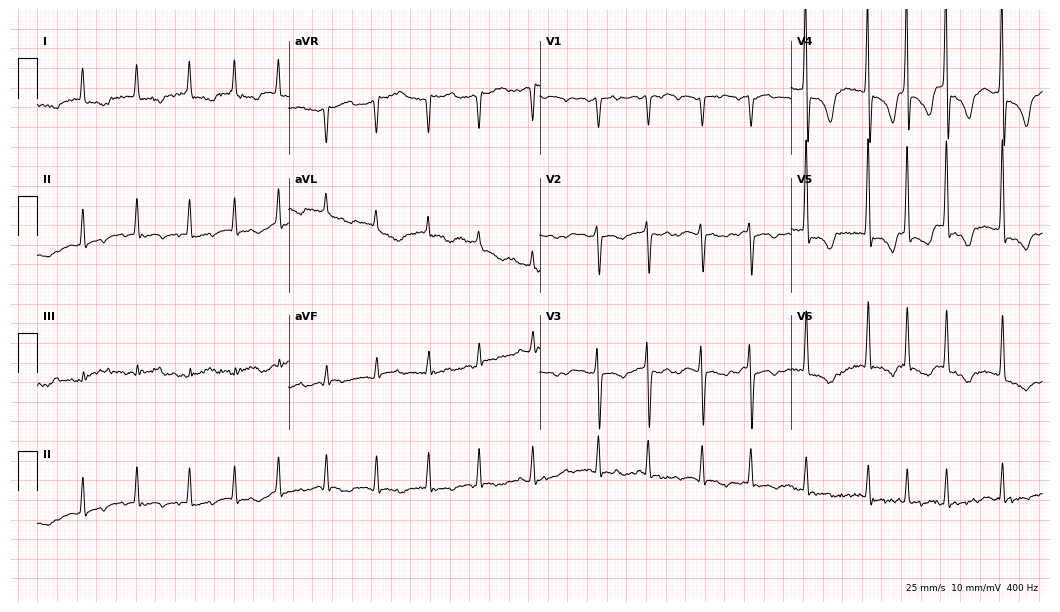
ECG — an 84-year-old female. Findings include atrial fibrillation.